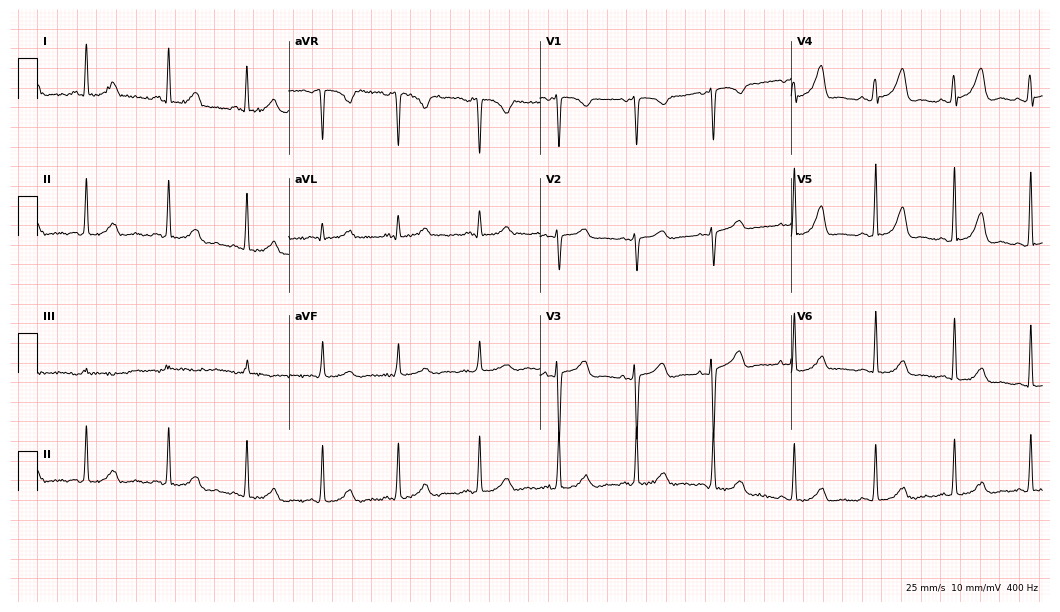
12-lead ECG from a female, 46 years old (10.2-second recording at 400 Hz). Recorded interpretation: within normal limits.